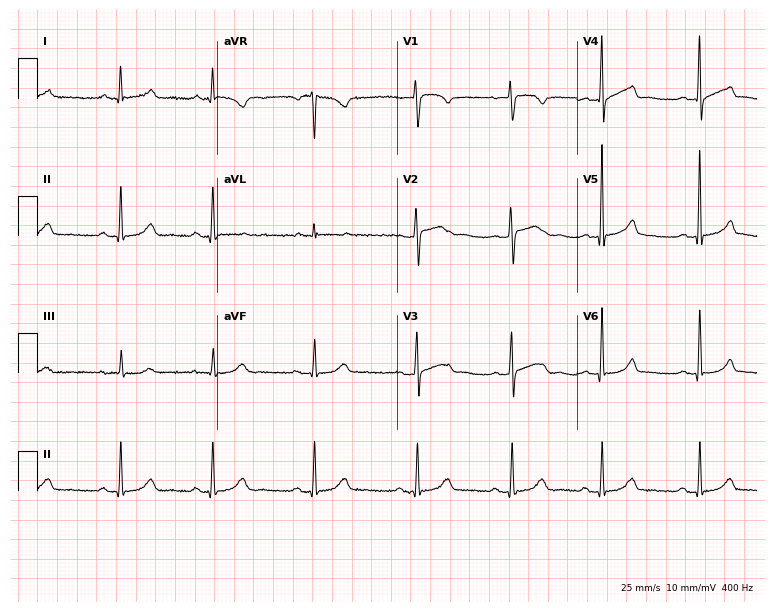
12-lead ECG from a 44-year-old woman. Screened for six findings — first-degree AV block, right bundle branch block (RBBB), left bundle branch block (LBBB), sinus bradycardia, atrial fibrillation (AF), sinus tachycardia — none is recorded.